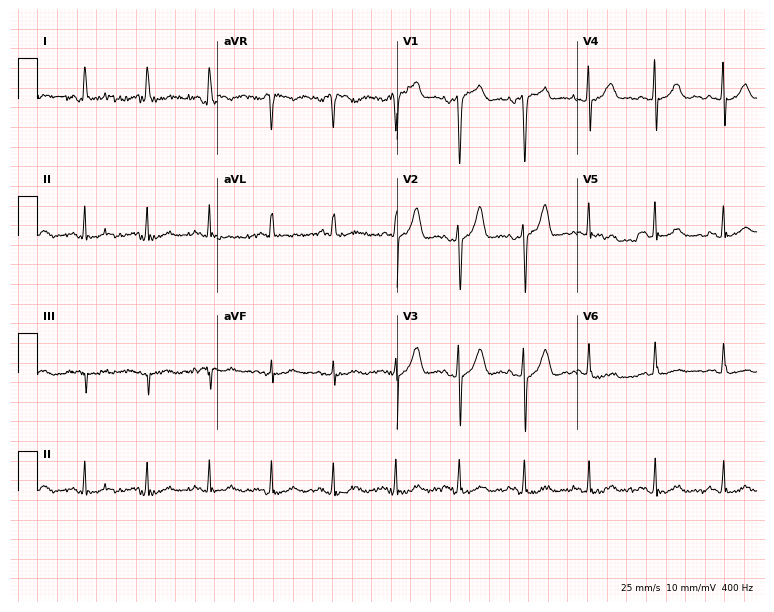
ECG — a 64-year-old male patient. Labelled as a normal ECG.